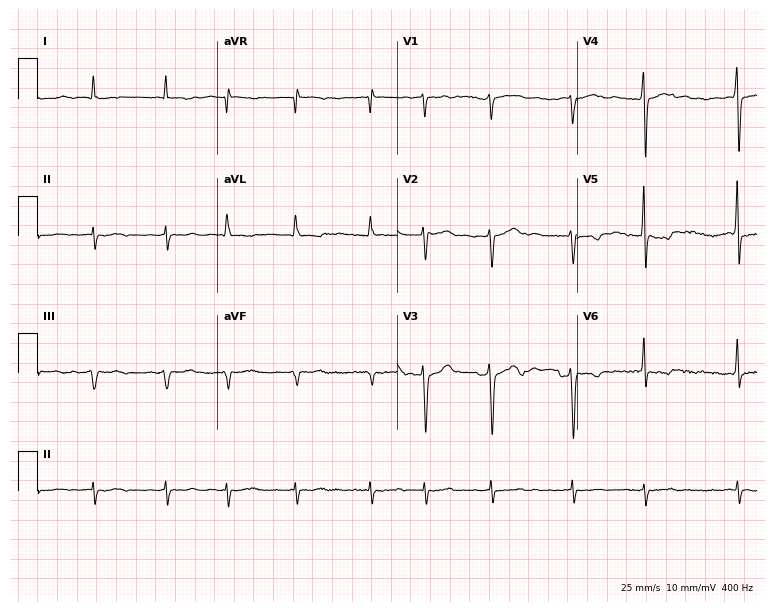
Resting 12-lead electrocardiogram (7.3-second recording at 400 Hz). Patient: a man, 84 years old. The tracing shows atrial fibrillation (AF).